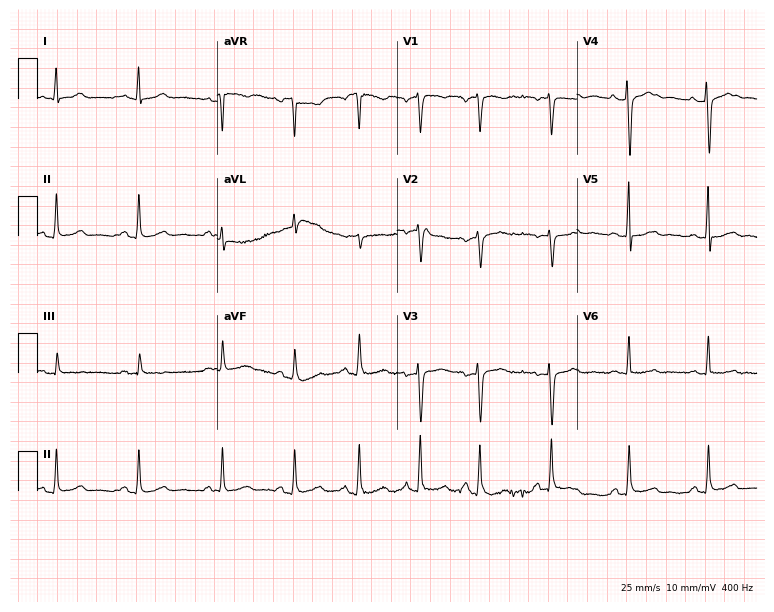
12-lead ECG from a 31-year-old female patient (7.3-second recording at 400 Hz). No first-degree AV block, right bundle branch block (RBBB), left bundle branch block (LBBB), sinus bradycardia, atrial fibrillation (AF) or sinus tachycardia recorded for this tracing. Only these six findings were labelled.